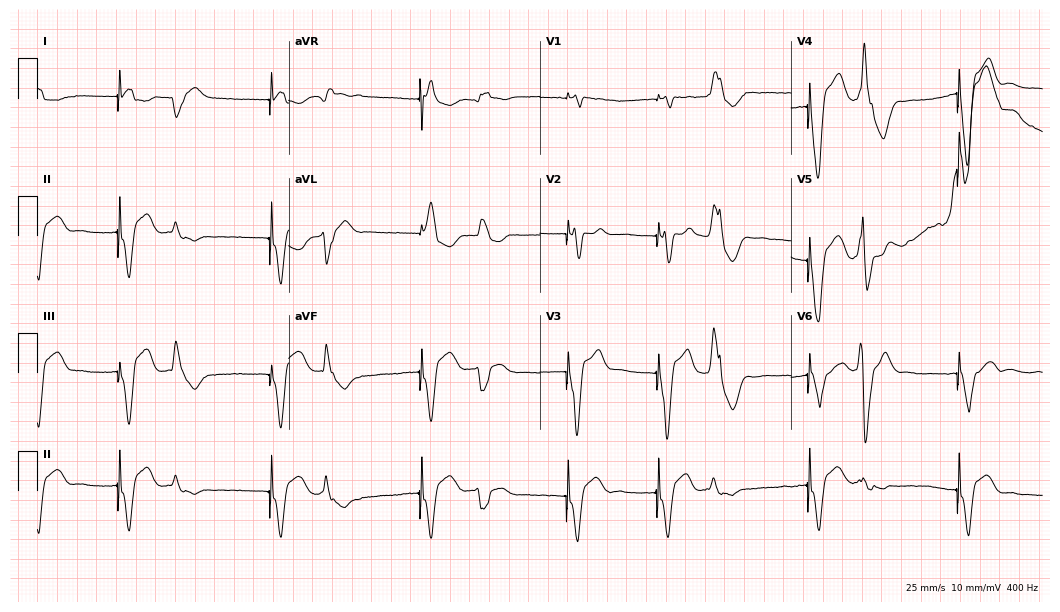
Standard 12-lead ECG recorded from a man, 85 years old (10.2-second recording at 400 Hz). None of these six findings is recorded: first-degree AV block, right bundle branch block (RBBB), left bundle branch block (LBBB), sinus bradycardia, atrial fibrillation (AF), sinus tachycardia.